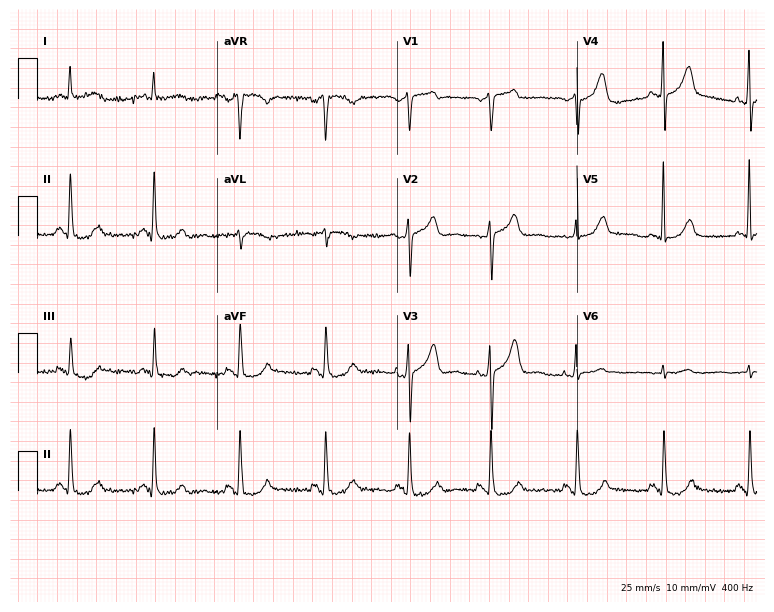
12-lead ECG from a 68-year-old man. Screened for six findings — first-degree AV block, right bundle branch block, left bundle branch block, sinus bradycardia, atrial fibrillation, sinus tachycardia — none is recorded.